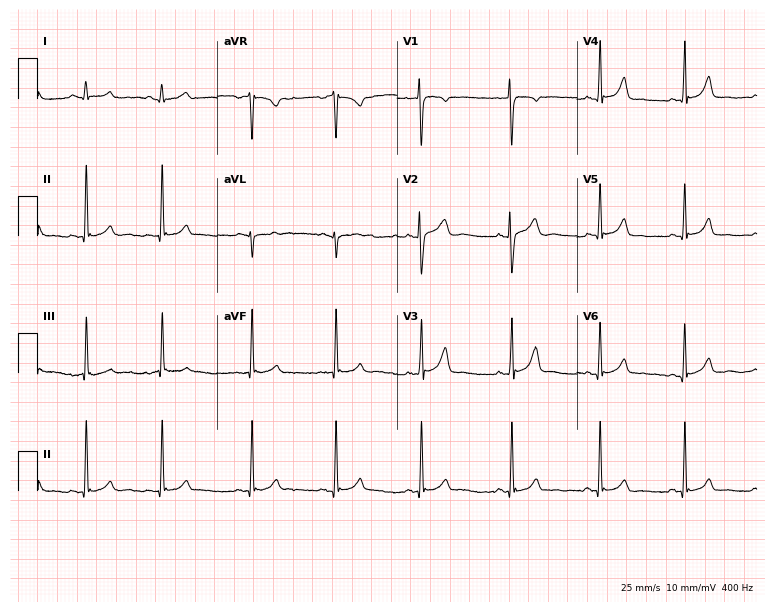
Resting 12-lead electrocardiogram. Patient: a female, 20 years old. Read as a normal ECG.